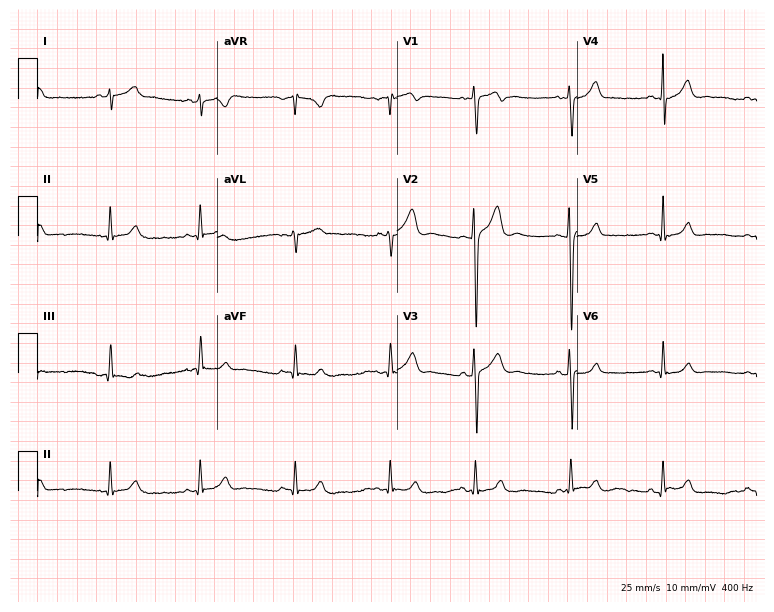
Resting 12-lead electrocardiogram (7.3-second recording at 400 Hz). Patient: a male, 21 years old. Read as a normal ECG.